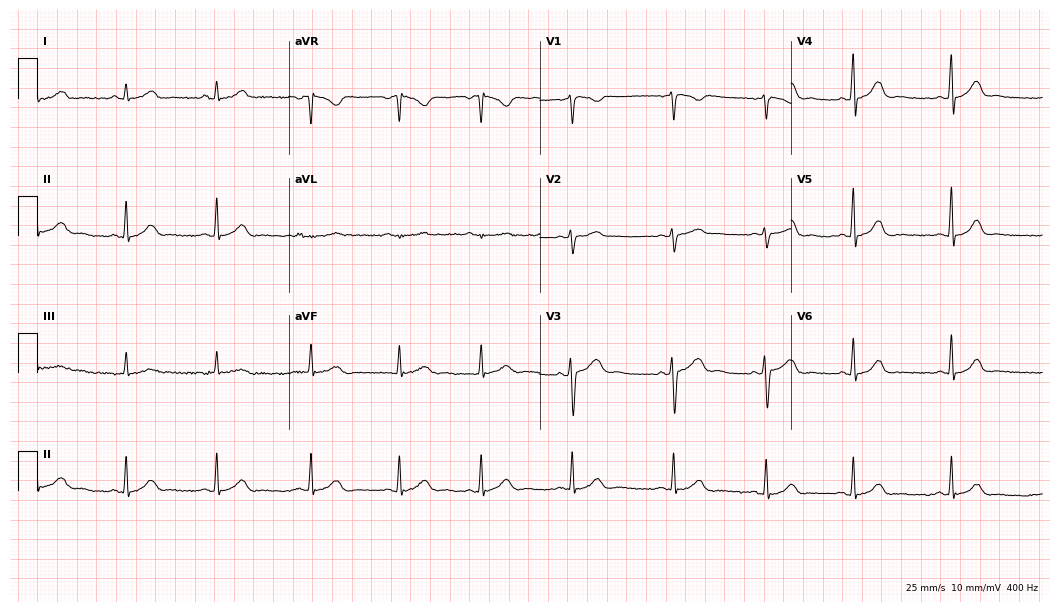
Electrocardiogram (10.2-second recording at 400 Hz), a female patient, 28 years old. Overall reading on record: normal ECG.